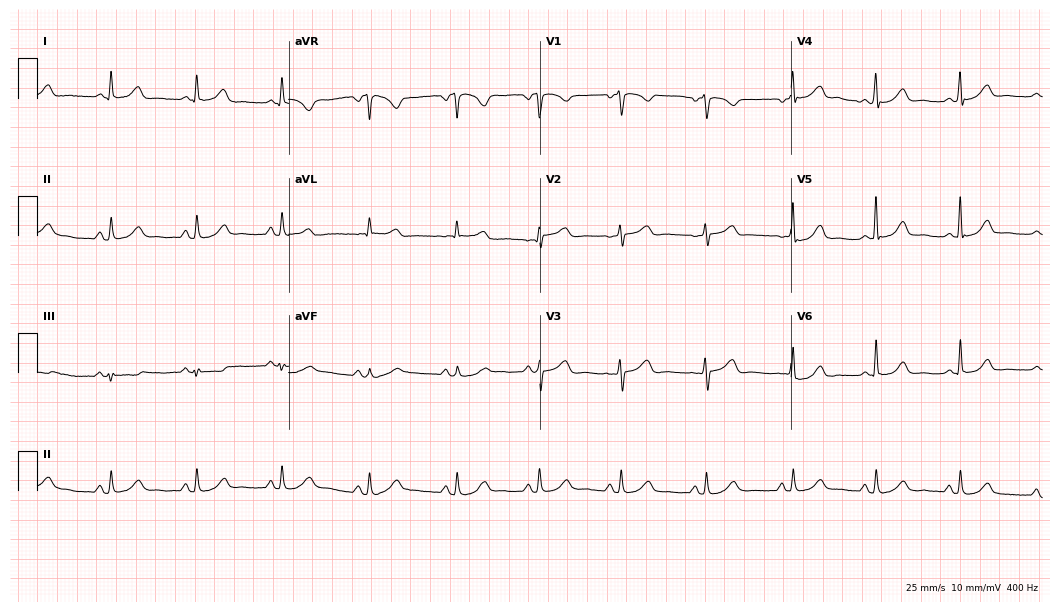
Electrocardiogram, a female patient, 43 years old. Overall reading on record: normal ECG.